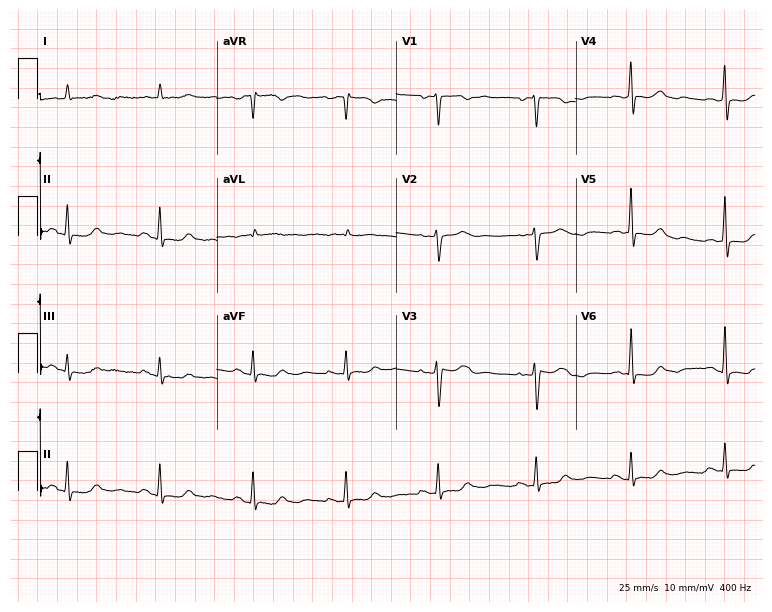
12-lead ECG from an 85-year-old female. No first-degree AV block, right bundle branch block (RBBB), left bundle branch block (LBBB), sinus bradycardia, atrial fibrillation (AF) or sinus tachycardia recorded for this tracing.